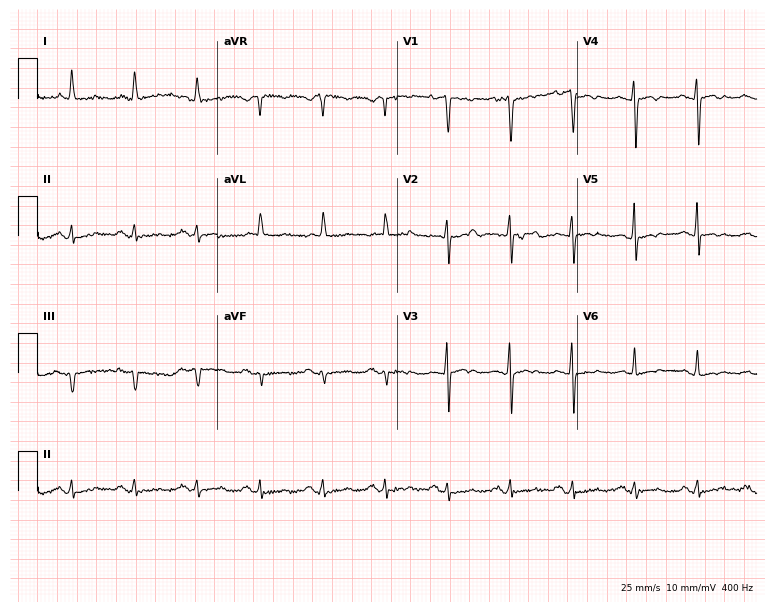
Resting 12-lead electrocardiogram (7.3-second recording at 400 Hz). Patient: a 79-year-old female. None of these six findings is recorded: first-degree AV block, right bundle branch block, left bundle branch block, sinus bradycardia, atrial fibrillation, sinus tachycardia. Only these six findings were labelled.